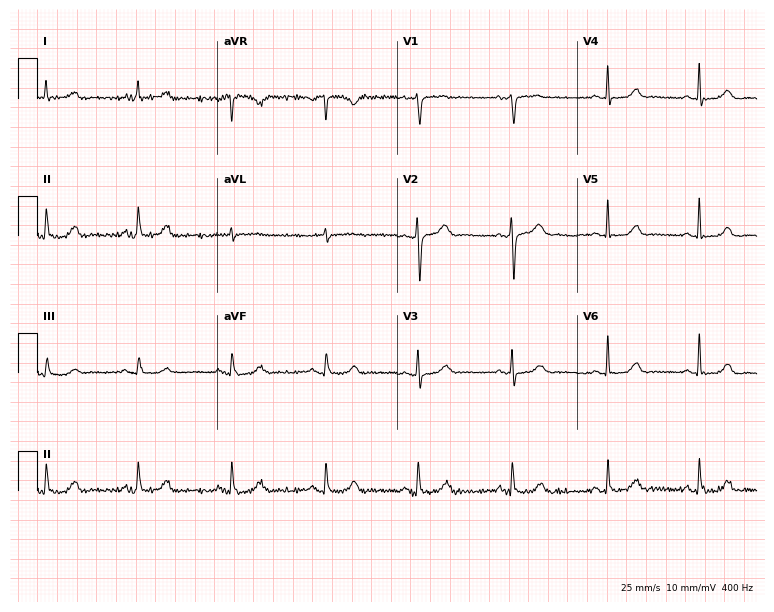
12-lead ECG (7.3-second recording at 400 Hz) from a woman, 55 years old. Screened for six findings — first-degree AV block, right bundle branch block (RBBB), left bundle branch block (LBBB), sinus bradycardia, atrial fibrillation (AF), sinus tachycardia — none is recorded.